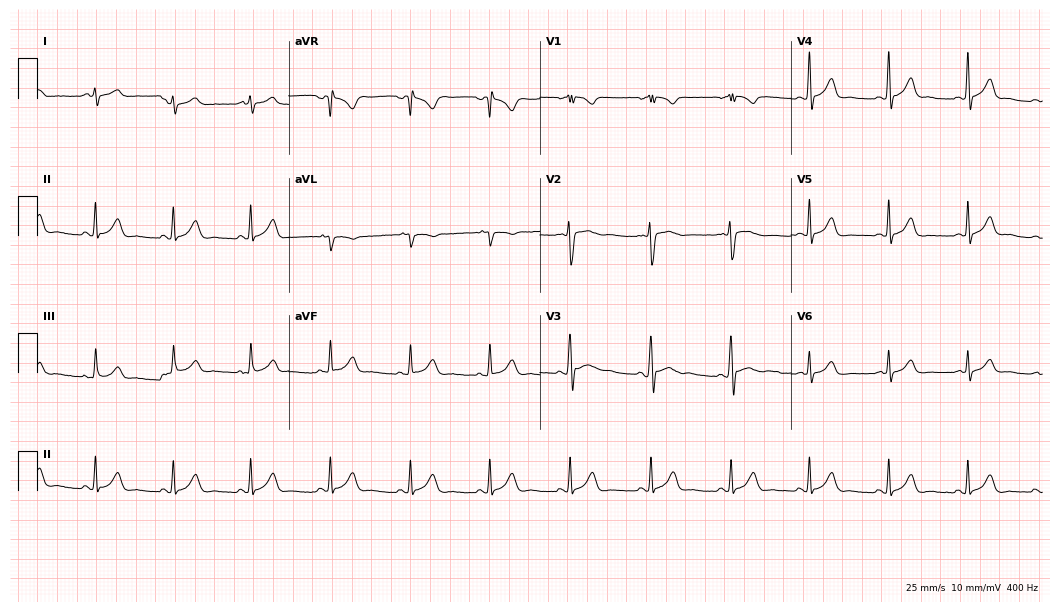
Resting 12-lead electrocardiogram (10.2-second recording at 400 Hz). Patient: a male, 20 years old. Read as a normal ECG.